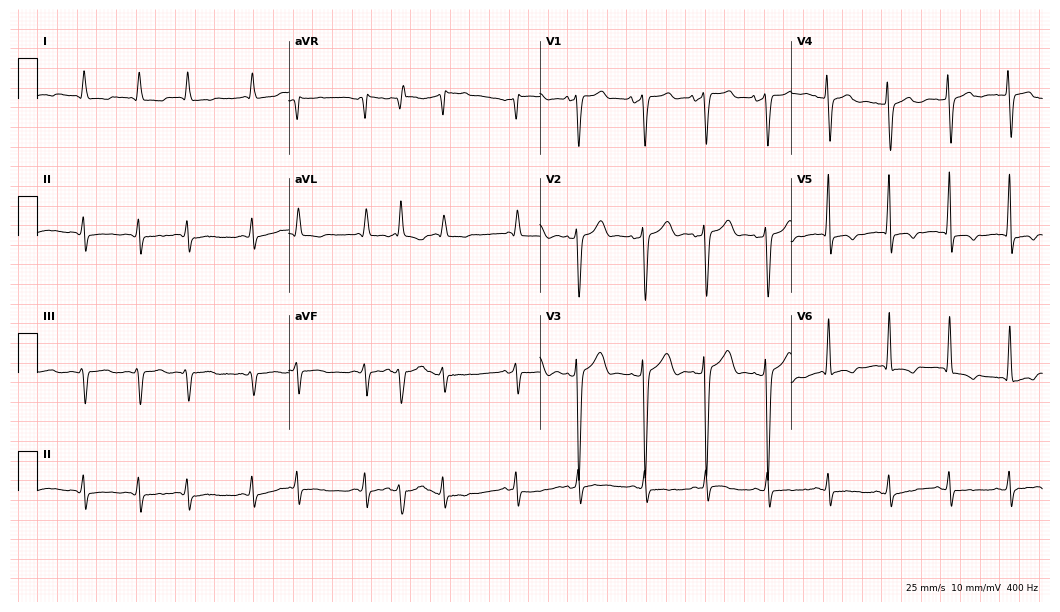
ECG (10.2-second recording at 400 Hz) — a 79-year-old female. Screened for six findings — first-degree AV block, right bundle branch block (RBBB), left bundle branch block (LBBB), sinus bradycardia, atrial fibrillation (AF), sinus tachycardia — none is recorded. Only these six findings were labelled.